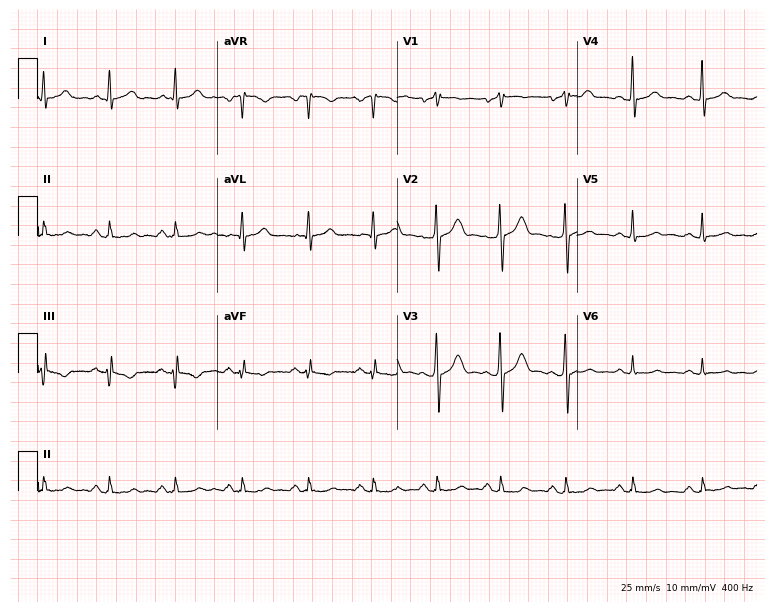
Standard 12-lead ECG recorded from a 59-year-old male patient (7.3-second recording at 400 Hz). Read as a normal ECG.